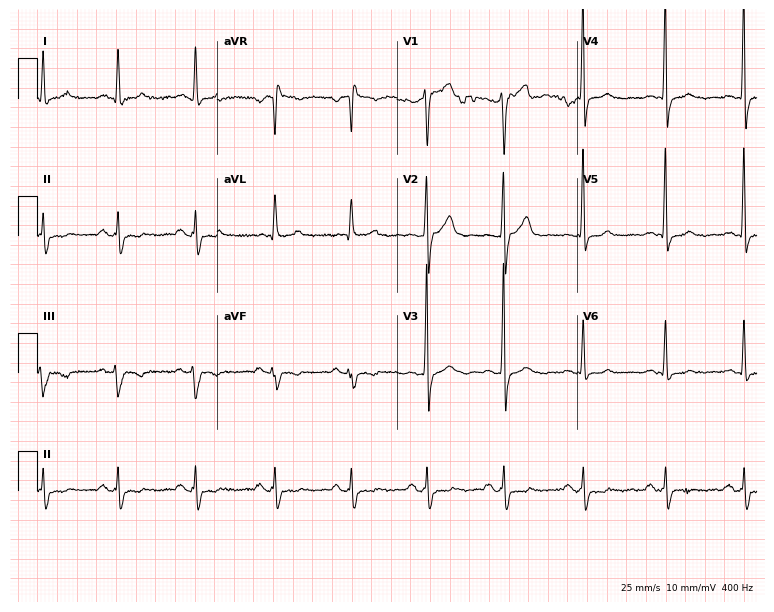
ECG (7.3-second recording at 400 Hz) — a male patient, 39 years old. Screened for six findings — first-degree AV block, right bundle branch block, left bundle branch block, sinus bradycardia, atrial fibrillation, sinus tachycardia — none is recorded. Only these six findings were labelled.